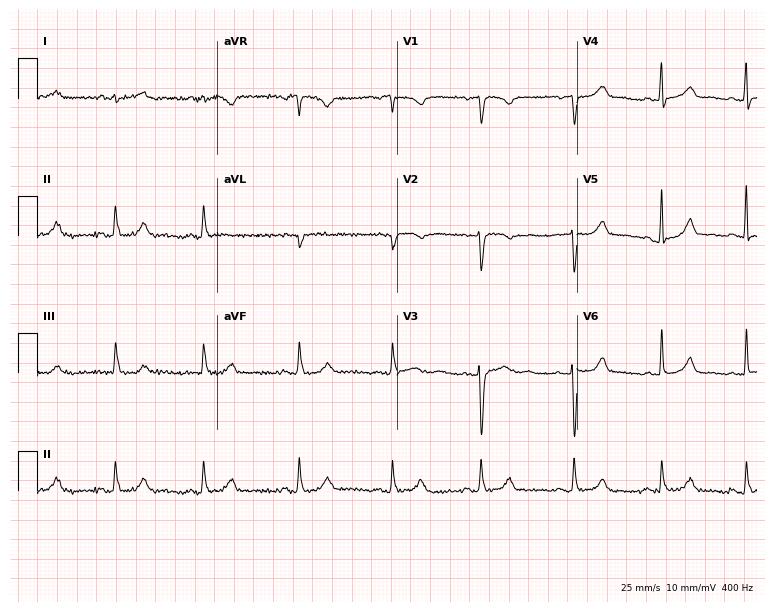
Electrocardiogram (7.3-second recording at 400 Hz), a 20-year-old female. Overall reading on record: normal ECG.